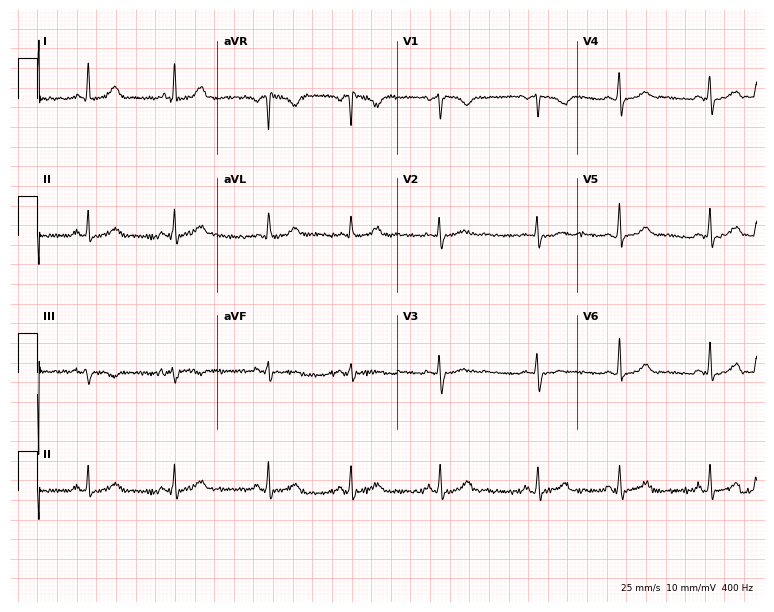
ECG — a 31-year-old female patient. Labelled as a normal ECG.